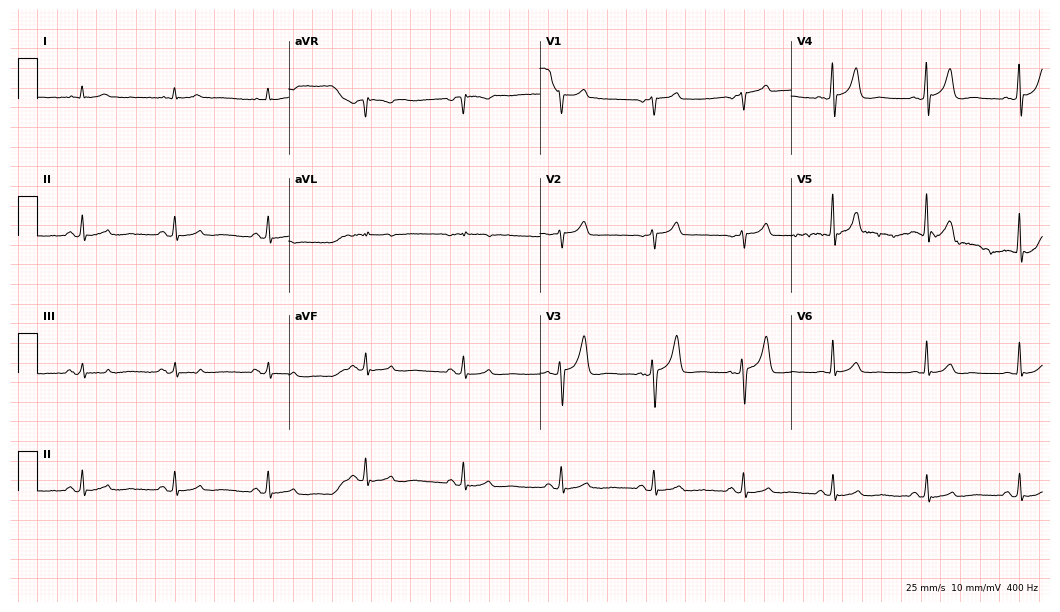
Electrocardiogram, a male, 74 years old. Overall reading on record: normal ECG.